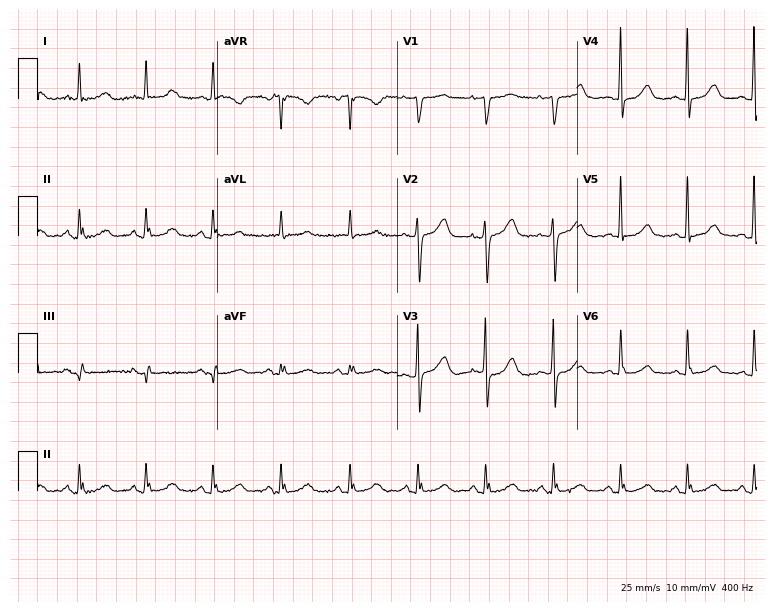
Electrocardiogram (7.3-second recording at 400 Hz), a female patient, 69 years old. Of the six screened findings (first-degree AV block, right bundle branch block, left bundle branch block, sinus bradycardia, atrial fibrillation, sinus tachycardia), none is recorded.